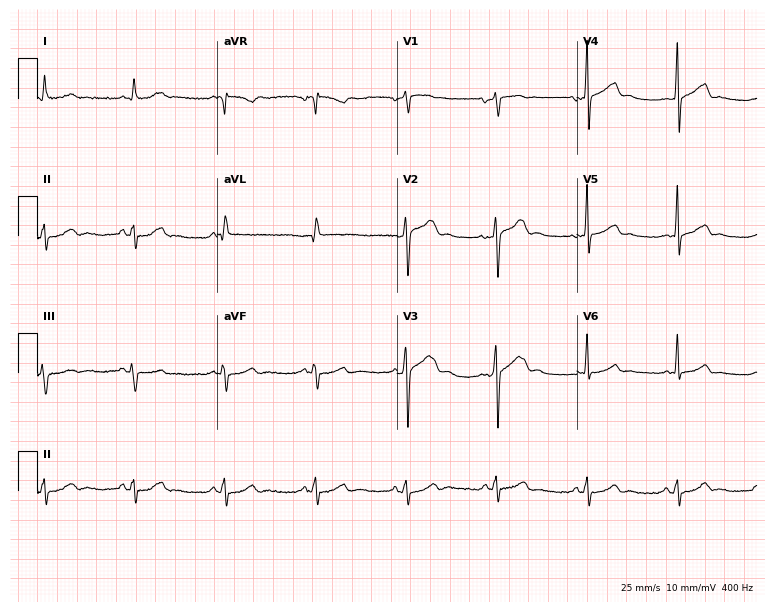
Standard 12-lead ECG recorded from a 59-year-old man. None of these six findings is recorded: first-degree AV block, right bundle branch block, left bundle branch block, sinus bradycardia, atrial fibrillation, sinus tachycardia. Other findings, if any, are not listed.